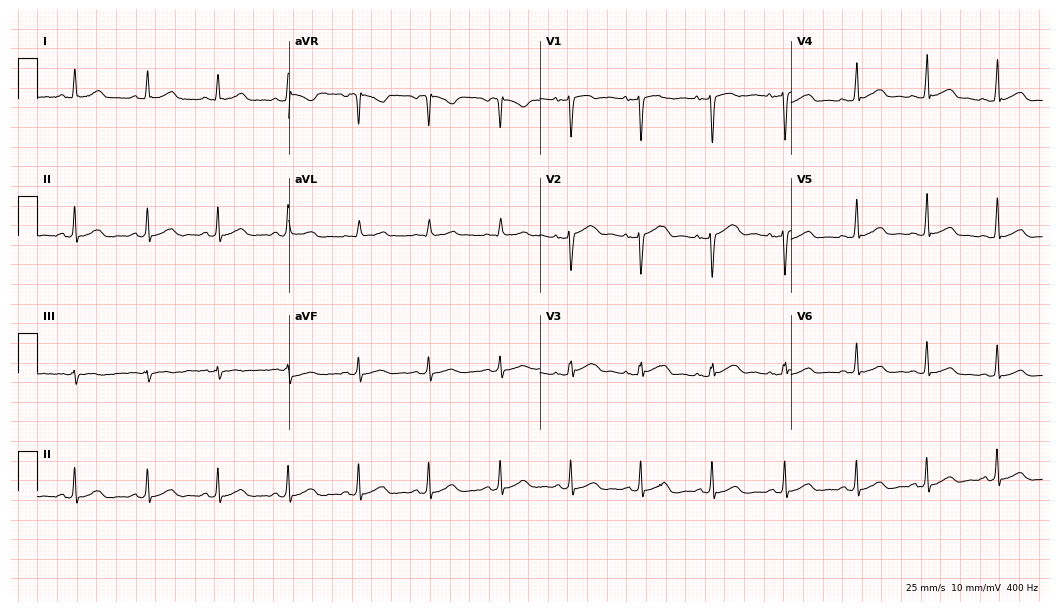
Standard 12-lead ECG recorded from a female patient, 38 years old (10.2-second recording at 400 Hz). Read as a normal ECG.